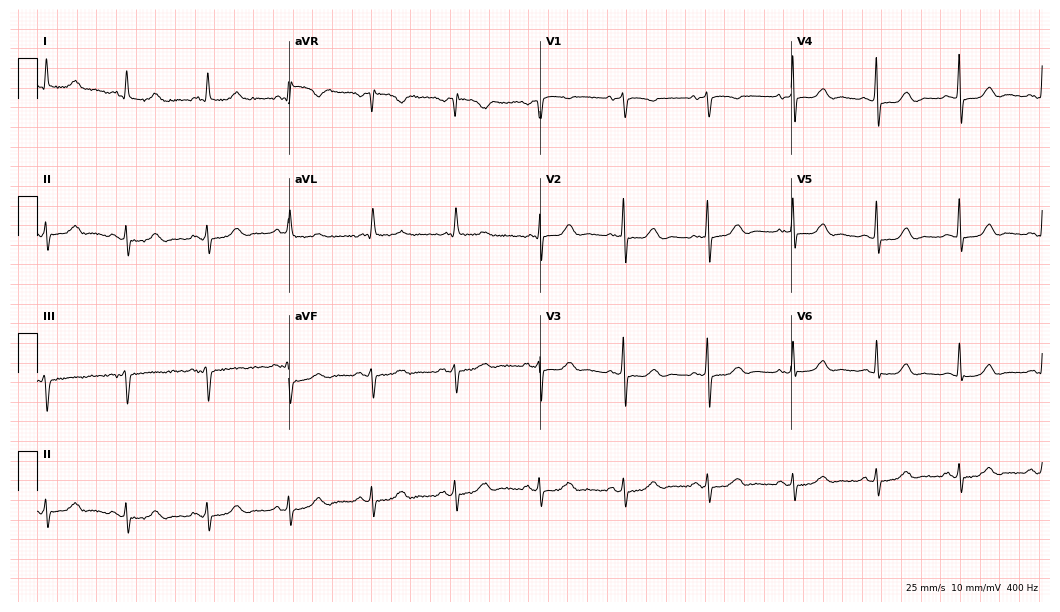
Standard 12-lead ECG recorded from an 80-year-old woman. None of these six findings is recorded: first-degree AV block, right bundle branch block, left bundle branch block, sinus bradycardia, atrial fibrillation, sinus tachycardia.